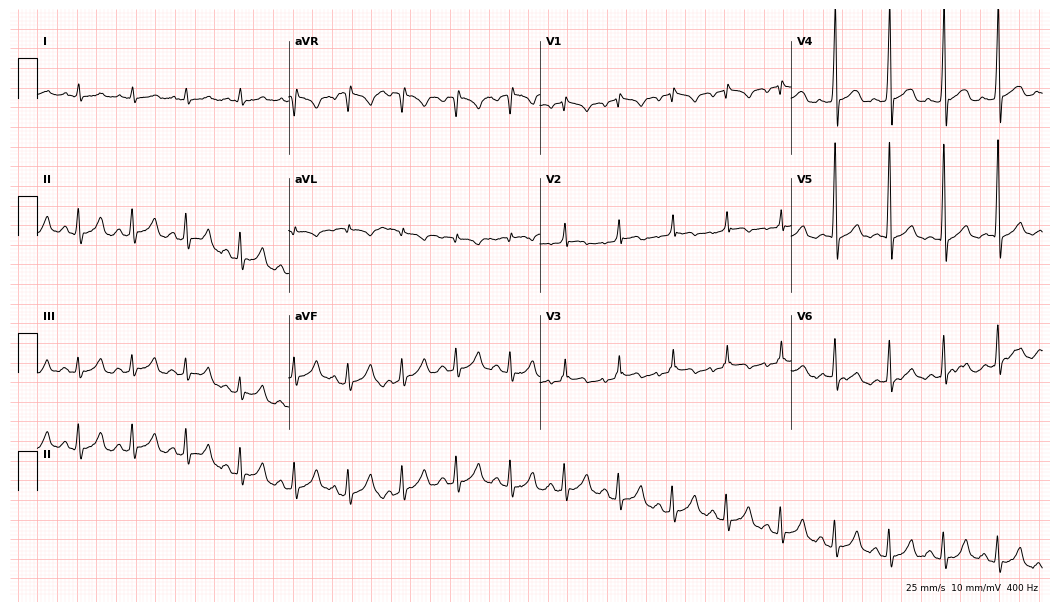
ECG (10.2-second recording at 400 Hz) — a 68-year-old male. Findings include sinus tachycardia (a sinus rate of 100 beats per minute or more).